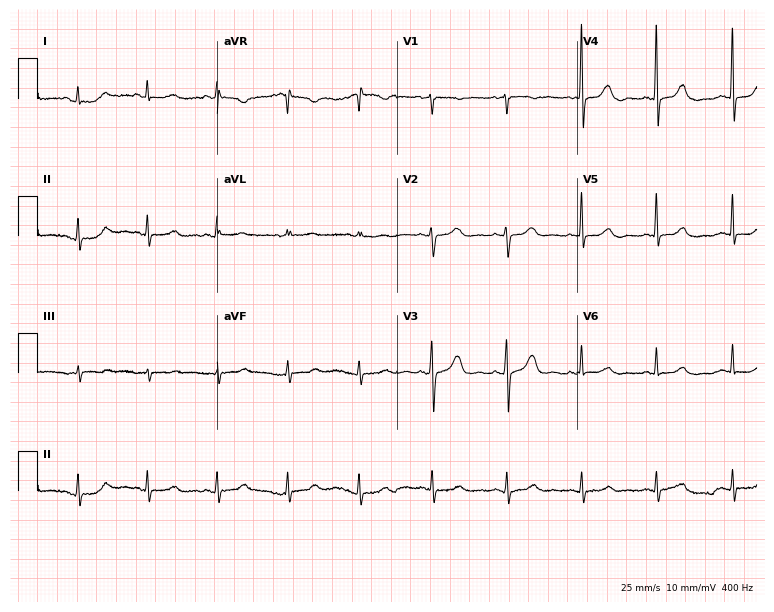
Resting 12-lead electrocardiogram. Patient: an 82-year-old female. Read as a normal ECG.